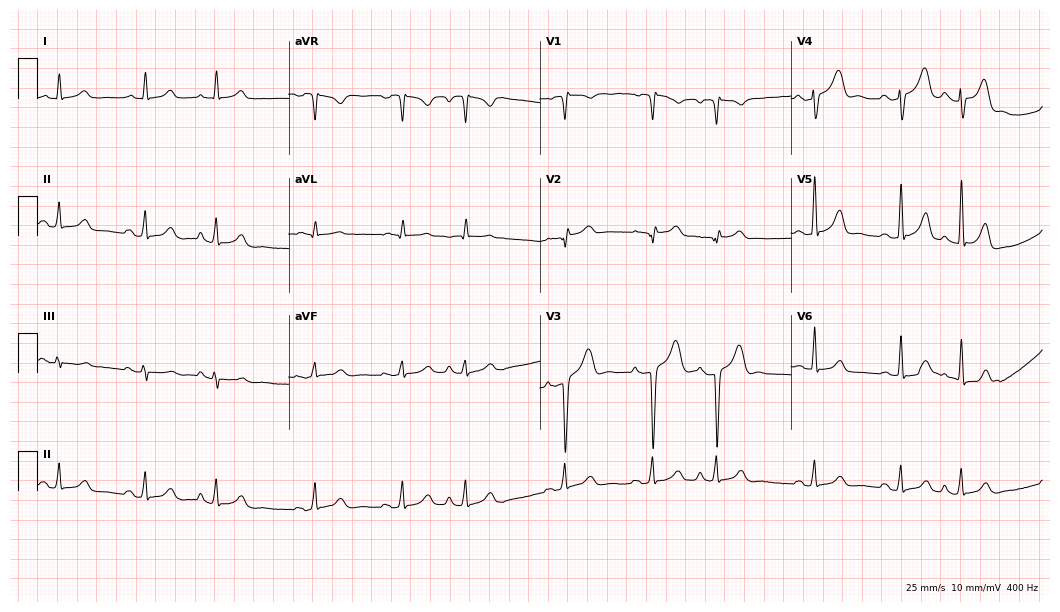
Electrocardiogram (10.2-second recording at 400 Hz), a man, 50 years old. Of the six screened findings (first-degree AV block, right bundle branch block, left bundle branch block, sinus bradycardia, atrial fibrillation, sinus tachycardia), none is recorded. Findings outside these six are not listed.